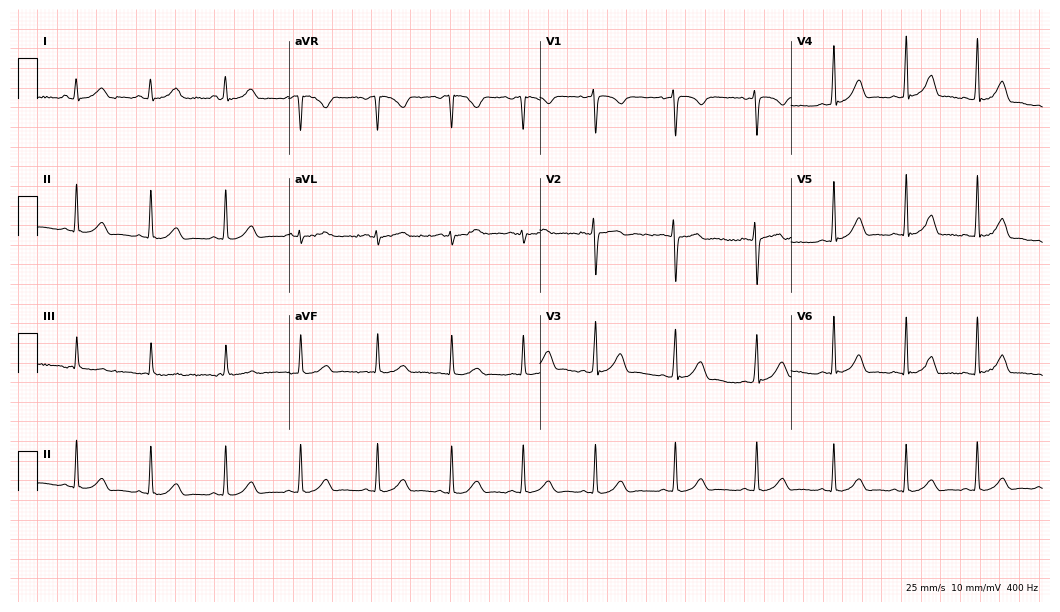
Standard 12-lead ECG recorded from a 21-year-old woman (10.2-second recording at 400 Hz). Read as a normal ECG.